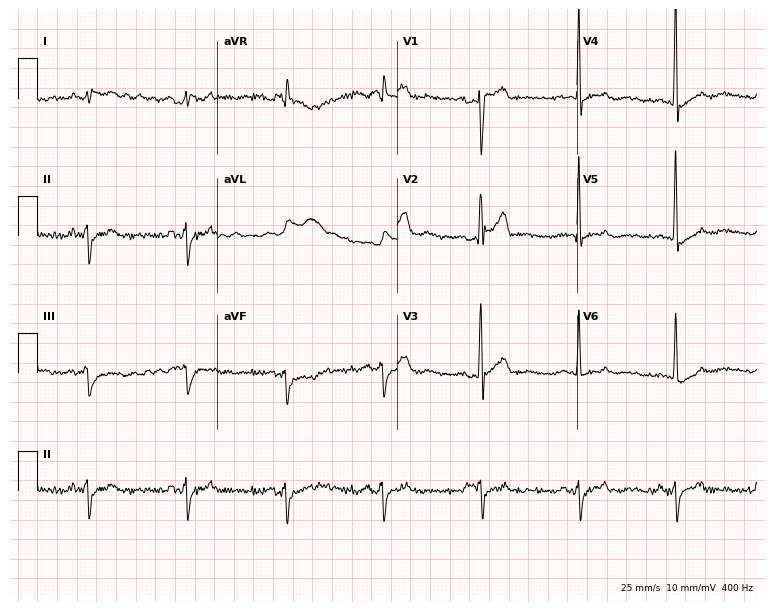
ECG (7.3-second recording at 400 Hz) — a male patient, 63 years old. Screened for six findings — first-degree AV block, right bundle branch block, left bundle branch block, sinus bradycardia, atrial fibrillation, sinus tachycardia — none is recorded.